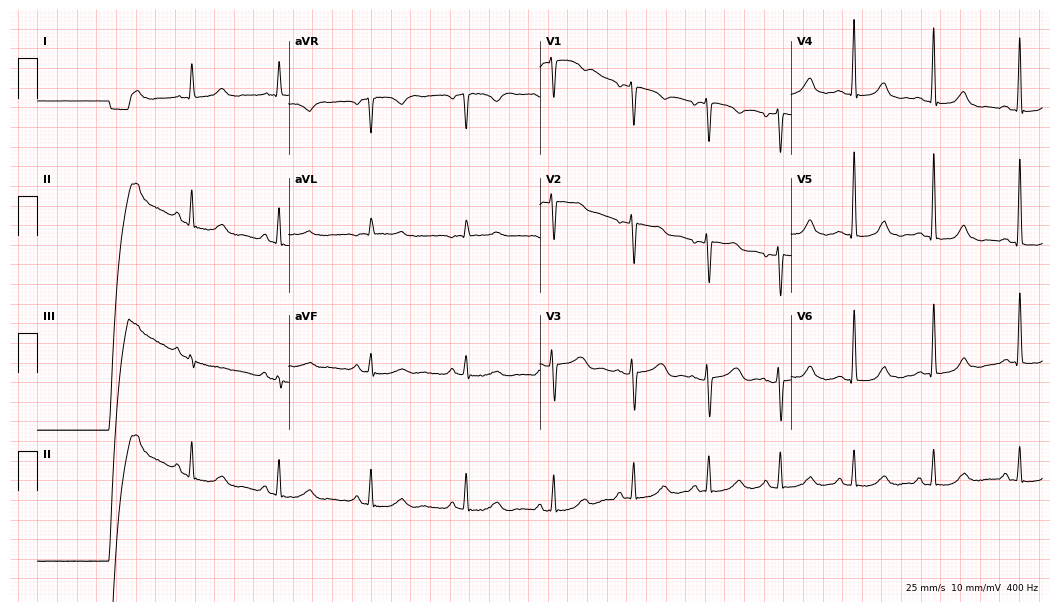
Resting 12-lead electrocardiogram (10.2-second recording at 400 Hz). Patient: a woman, 50 years old. Read as a normal ECG.